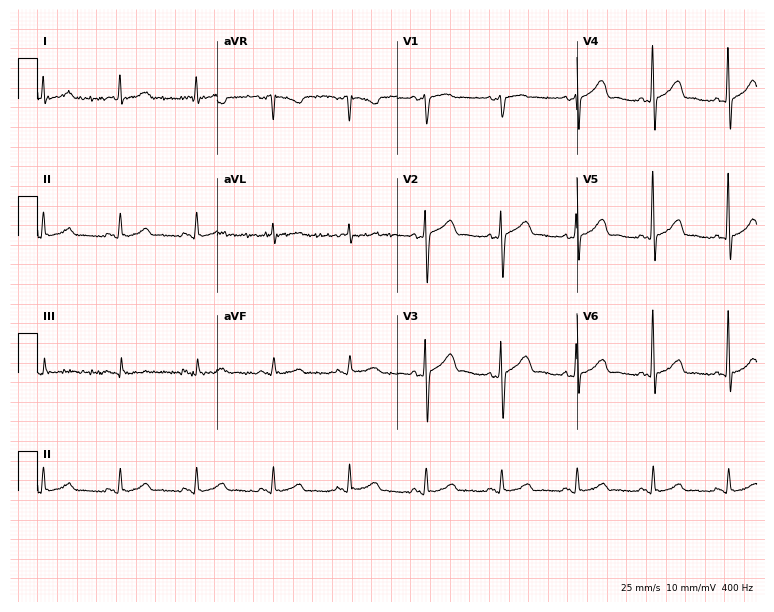
Electrocardiogram (7.3-second recording at 400 Hz), a man, 70 years old. Overall reading on record: normal ECG.